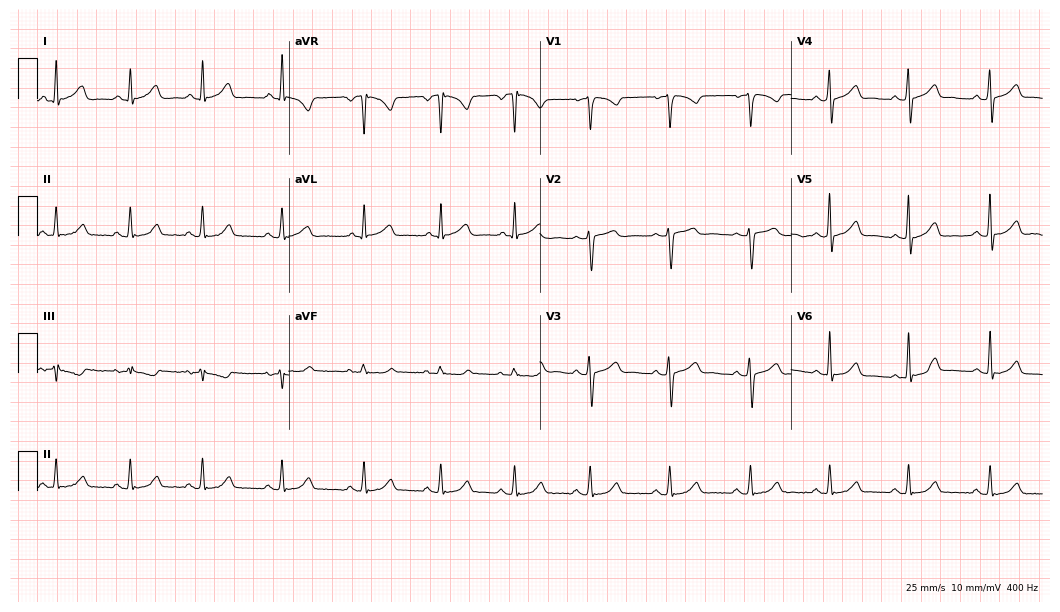
Electrocardiogram, a woman, 34 years old. Overall reading on record: normal ECG.